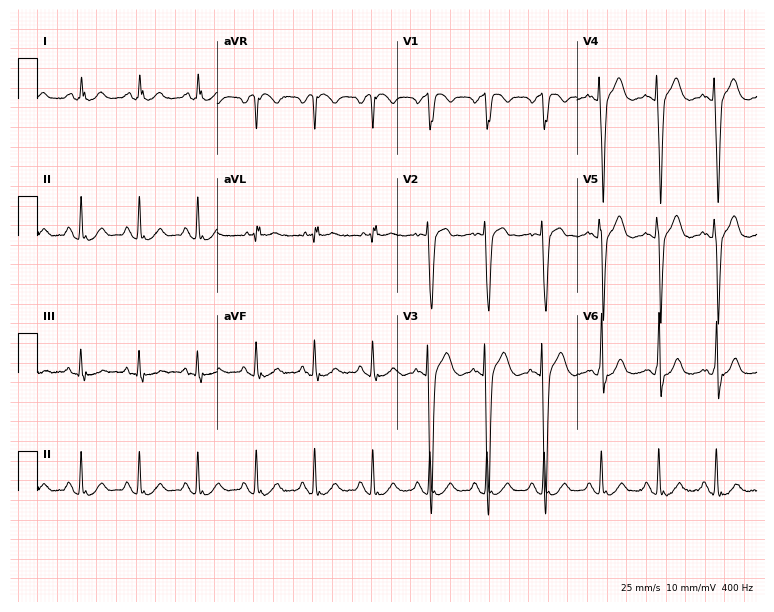
12-lead ECG from a 50-year-old female. Findings include sinus tachycardia (a sinus rate of 100 beats per minute or more).